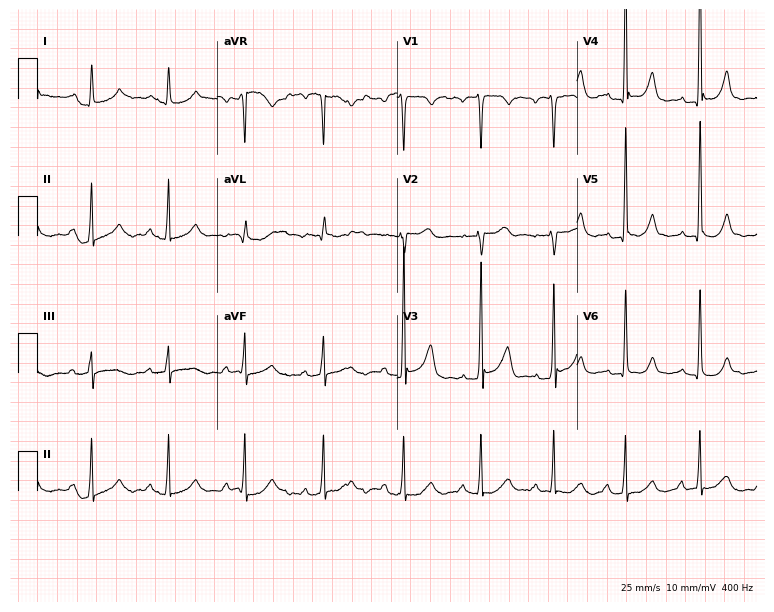
12-lead ECG (7.3-second recording at 400 Hz) from a male, 64 years old. Labelled as a normal ECG.